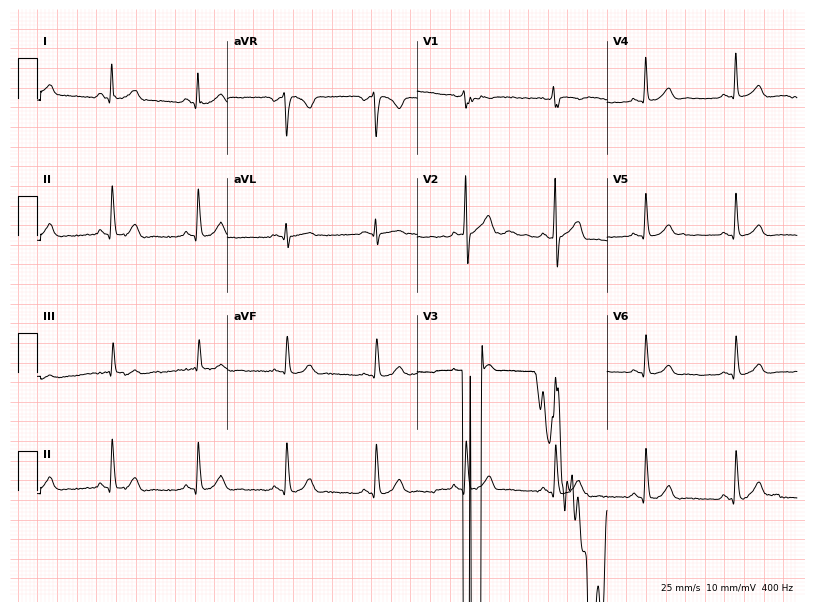
Standard 12-lead ECG recorded from a 29-year-old male patient (7.7-second recording at 400 Hz). None of these six findings is recorded: first-degree AV block, right bundle branch block, left bundle branch block, sinus bradycardia, atrial fibrillation, sinus tachycardia. Other findings, if any, are not listed.